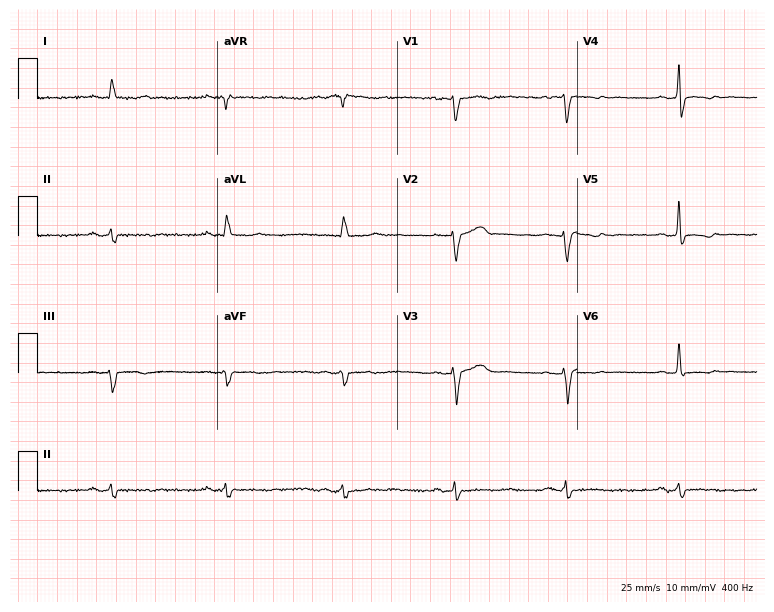
Standard 12-lead ECG recorded from a 64-year-old female patient. None of these six findings is recorded: first-degree AV block, right bundle branch block, left bundle branch block, sinus bradycardia, atrial fibrillation, sinus tachycardia.